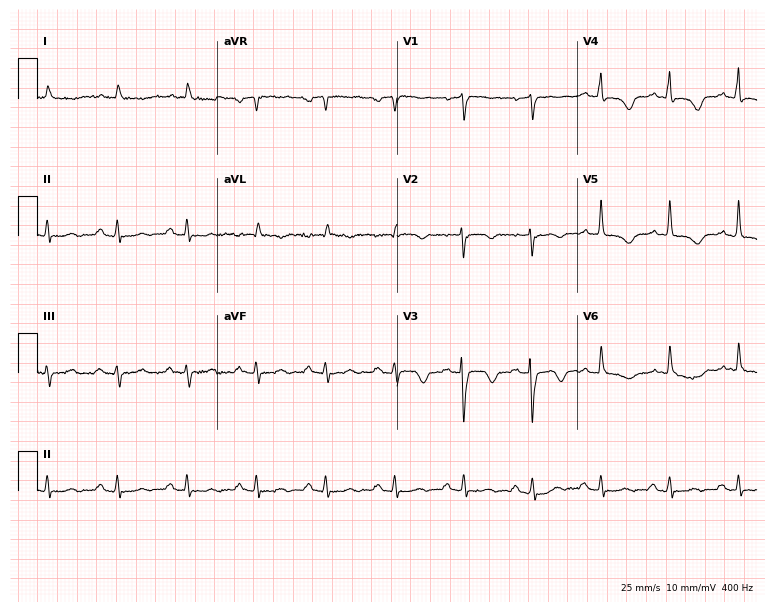
12-lead ECG from a female patient, 77 years old (7.3-second recording at 400 Hz). No first-degree AV block, right bundle branch block, left bundle branch block, sinus bradycardia, atrial fibrillation or sinus tachycardia recorded for this tracing.